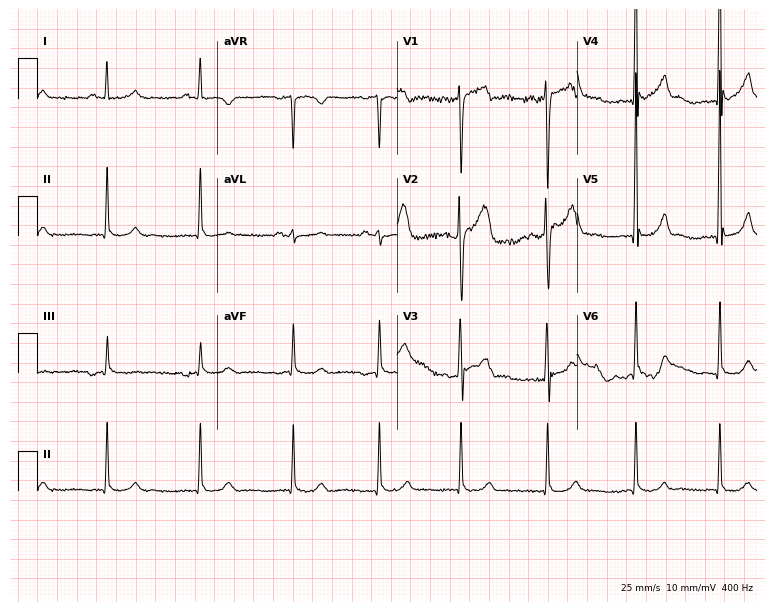
Standard 12-lead ECG recorded from a 26-year-old male (7.3-second recording at 400 Hz). Read as a normal ECG.